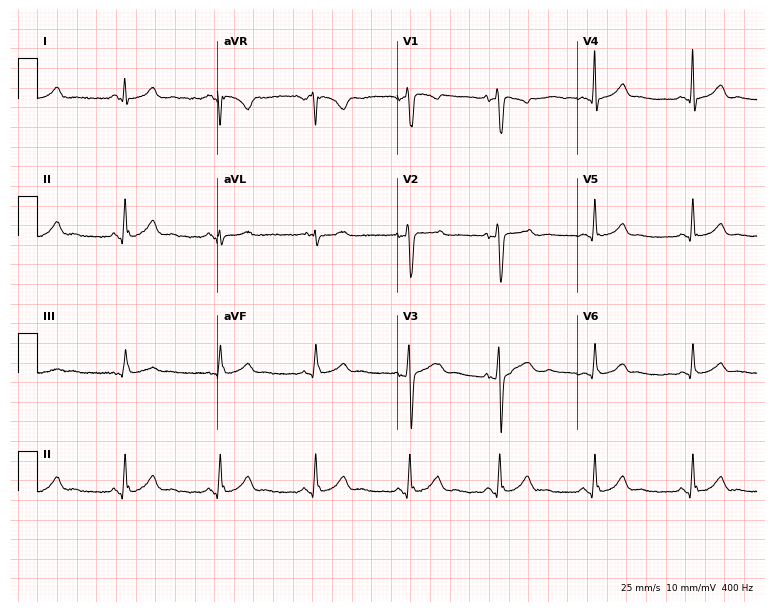
ECG — a 25-year-old female patient. Labelled as a normal ECG.